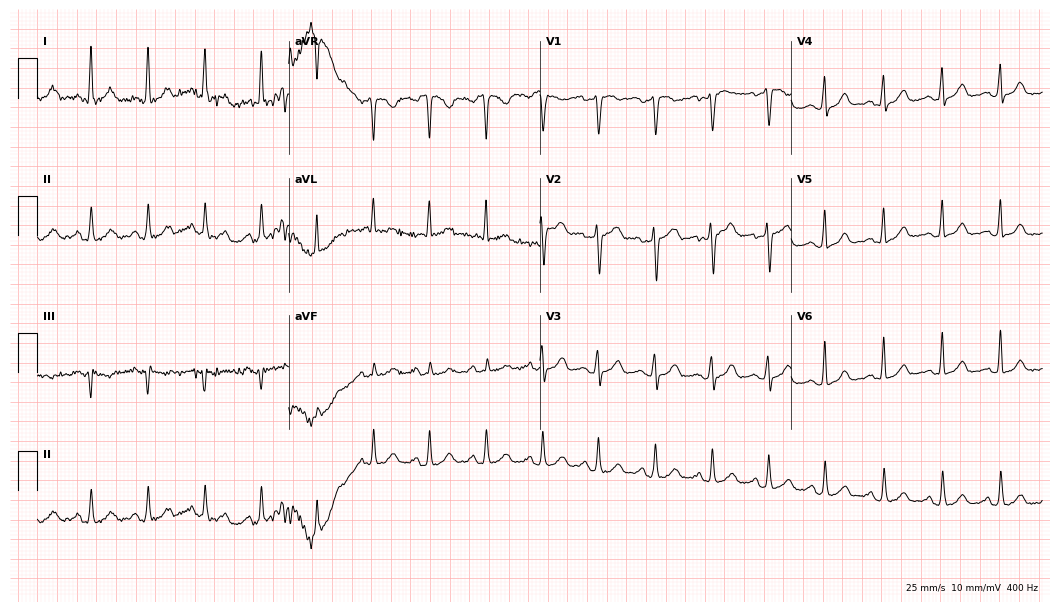
Electrocardiogram (10.2-second recording at 400 Hz), a 27-year-old female patient. Of the six screened findings (first-degree AV block, right bundle branch block, left bundle branch block, sinus bradycardia, atrial fibrillation, sinus tachycardia), none is recorded. Only these six findings were labelled.